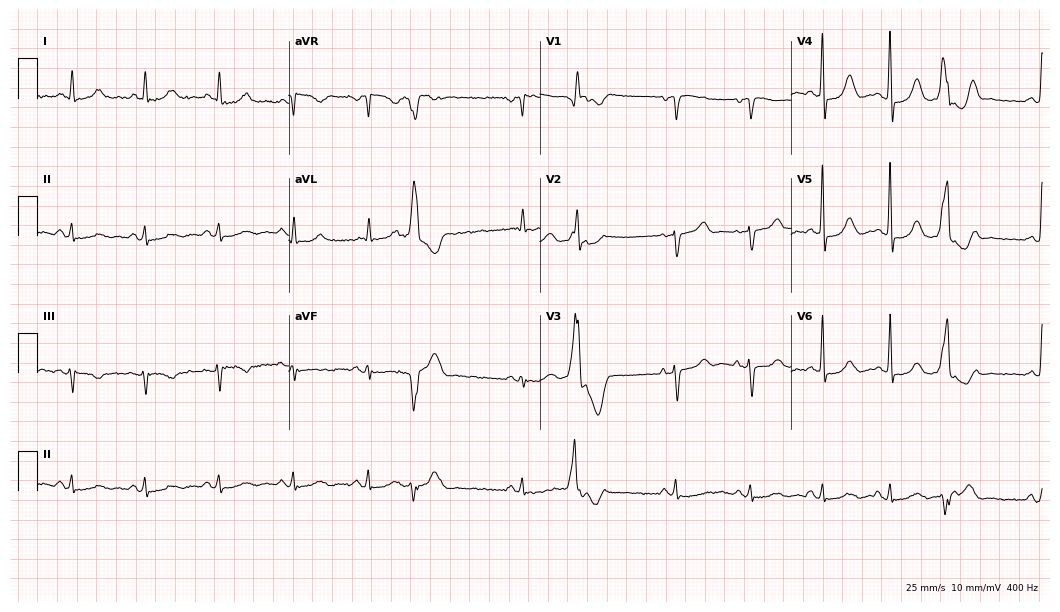
Resting 12-lead electrocardiogram (10.2-second recording at 400 Hz). Patient: a 72-year-old female. None of these six findings is recorded: first-degree AV block, right bundle branch block, left bundle branch block, sinus bradycardia, atrial fibrillation, sinus tachycardia. Findings outside these six are not listed.